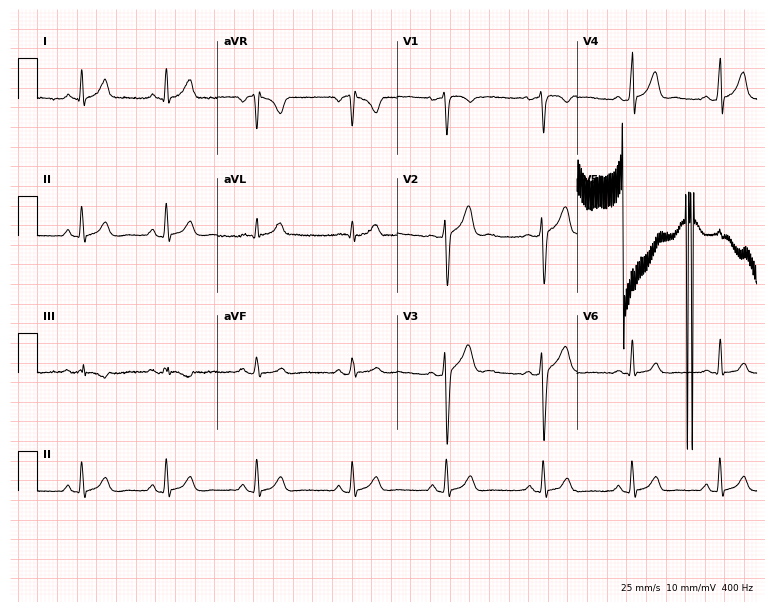
12-lead ECG from a 29-year-old man. Labelled as a normal ECG.